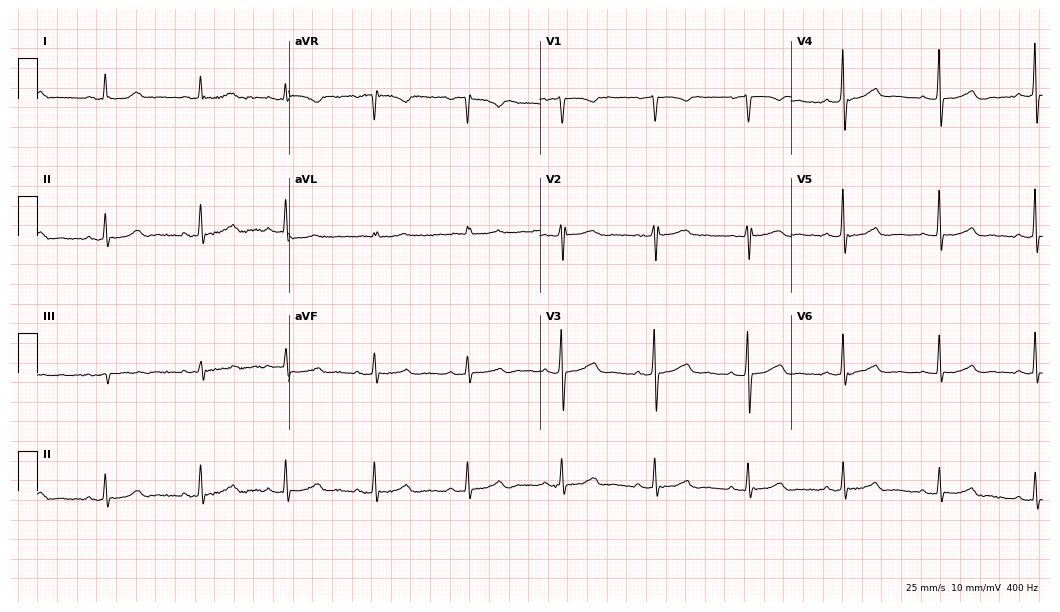
Electrocardiogram (10.2-second recording at 400 Hz), a 68-year-old female. Overall reading on record: normal ECG.